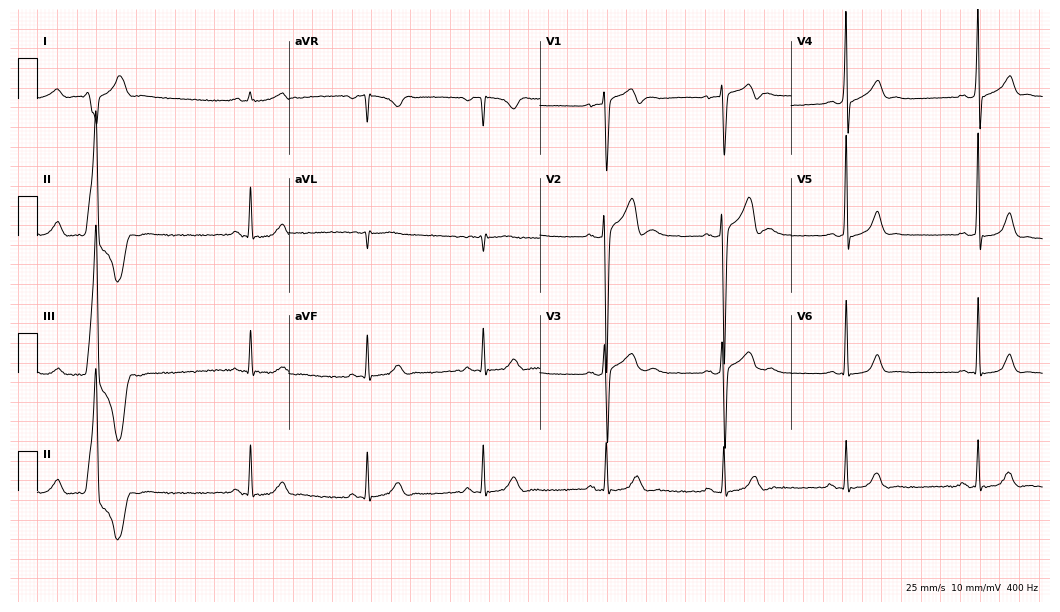
Electrocardiogram (10.2-second recording at 400 Hz), a 24-year-old man. Interpretation includes sinus bradycardia (a sinus rate of 50 beats per minute or less).